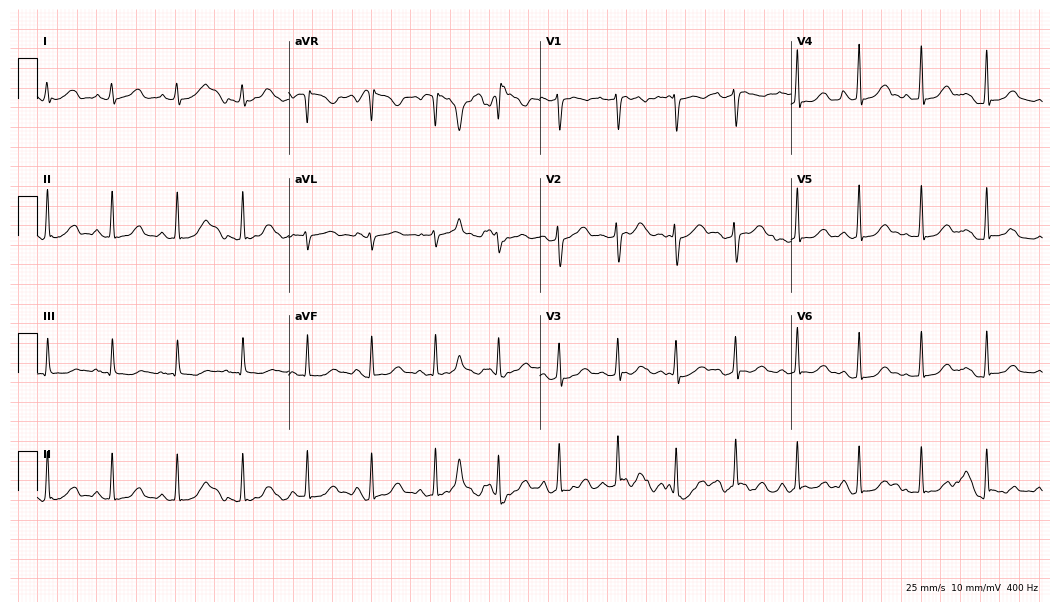
Electrocardiogram, a female, 36 years old. Overall reading on record: normal ECG.